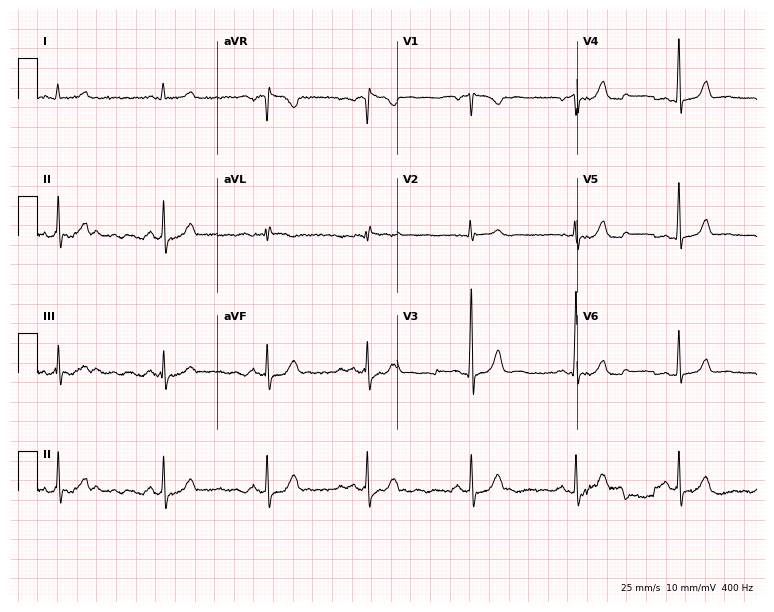
Electrocardiogram (7.3-second recording at 400 Hz), a 38-year-old man. Overall reading on record: normal ECG.